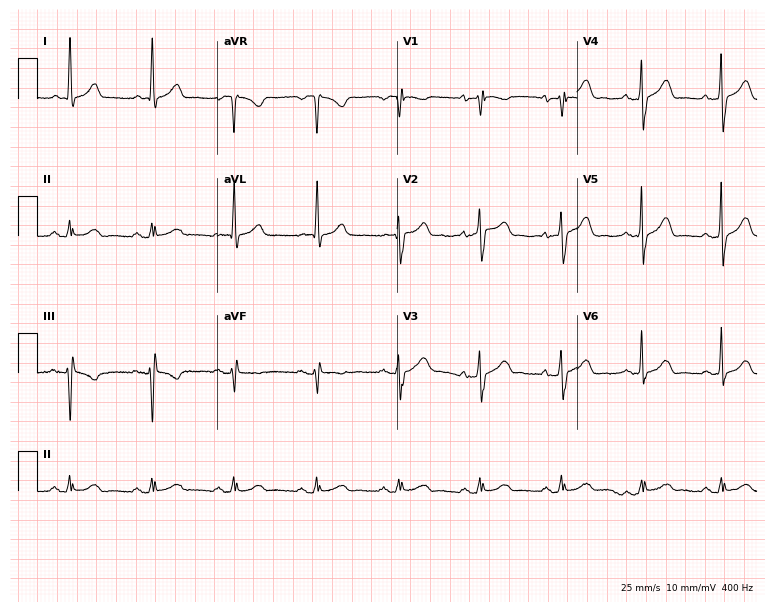
12-lead ECG (7.3-second recording at 400 Hz) from a man, 71 years old. Screened for six findings — first-degree AV block, right bundle branch block, left bundle branch block, sinus bradycardia, atrial fibrillation, sinus tachycardia — none is recorded.